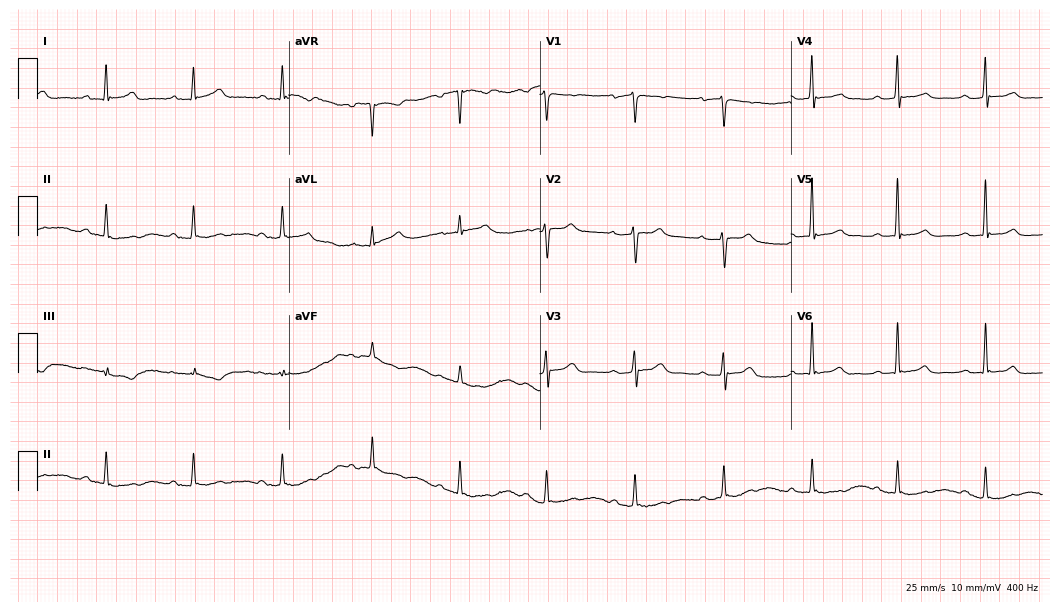
12-lead ECG from a 63-year-old woman. Shows first-degree AV block.